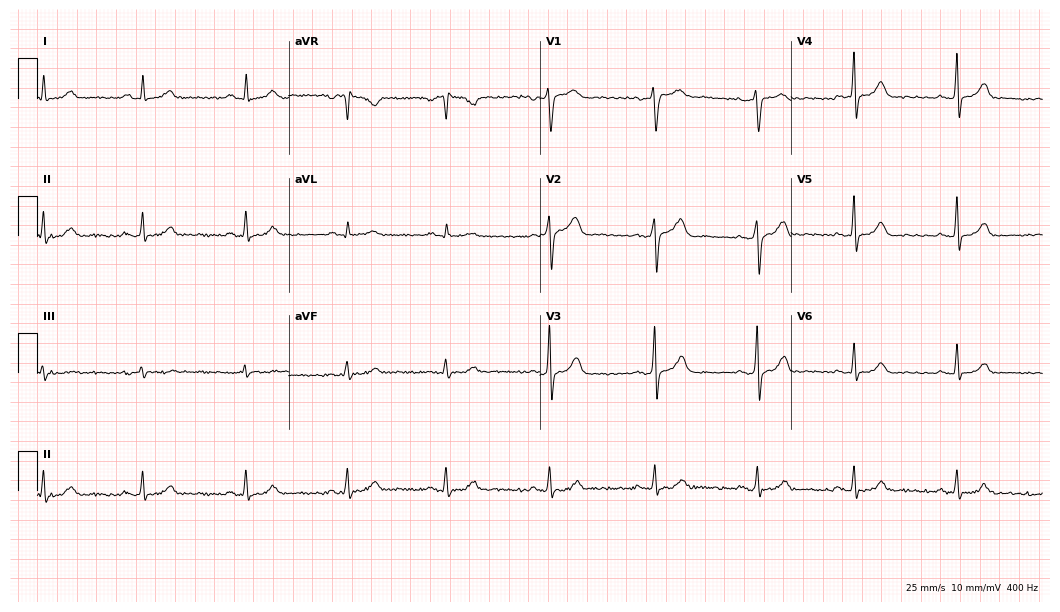
12-lead ECG (10.2-second recording at 400 Hz) from a female, 48 years old. Labelled as a normal ECG.